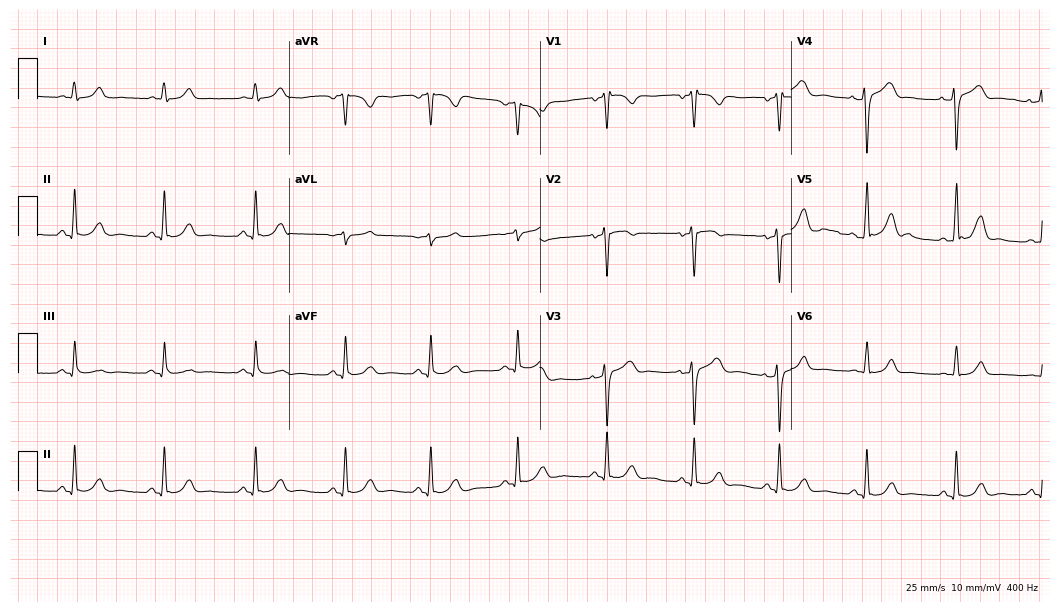
12-lead ECG from a 53-year-old male patient (10.2-second recording at 400 Hz). Recorded interpretation: within normal limits.